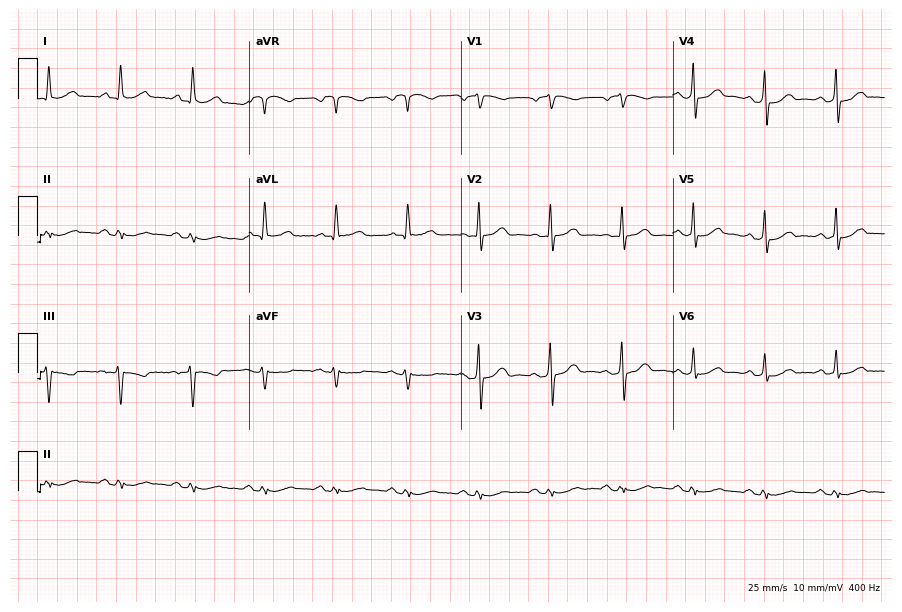
Electrocardiogram (8.6-second recording at 400 Hz), an 82-year-old male. Of the six screened findings (first-degree AV block, right bundle branch block (RBBB), left bundle branch block (LBBB), sinus bradycardia, atrial fibrillation (AF), sinus tachycardia), none is recorded. Only these six findings were labelled.